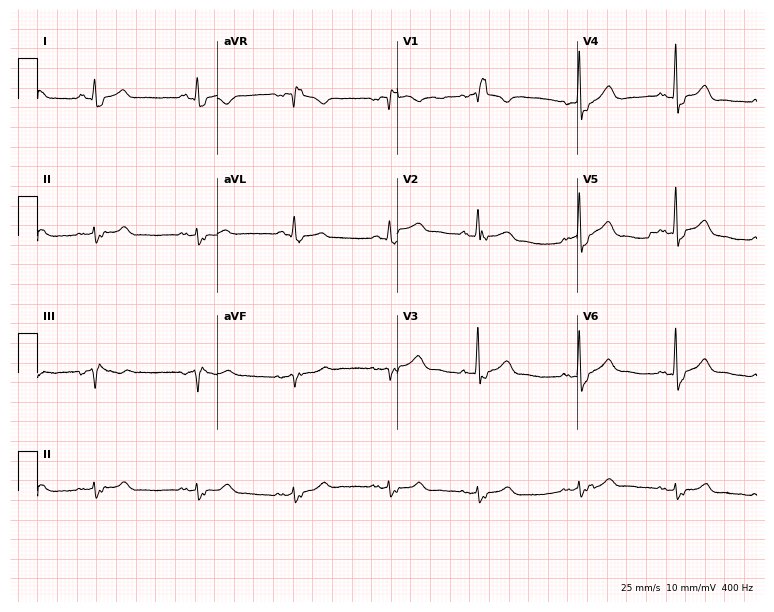
ECG (7.3-second recording at 400 Hz) — a man, 70 years old. Findings include right bundle branch block.